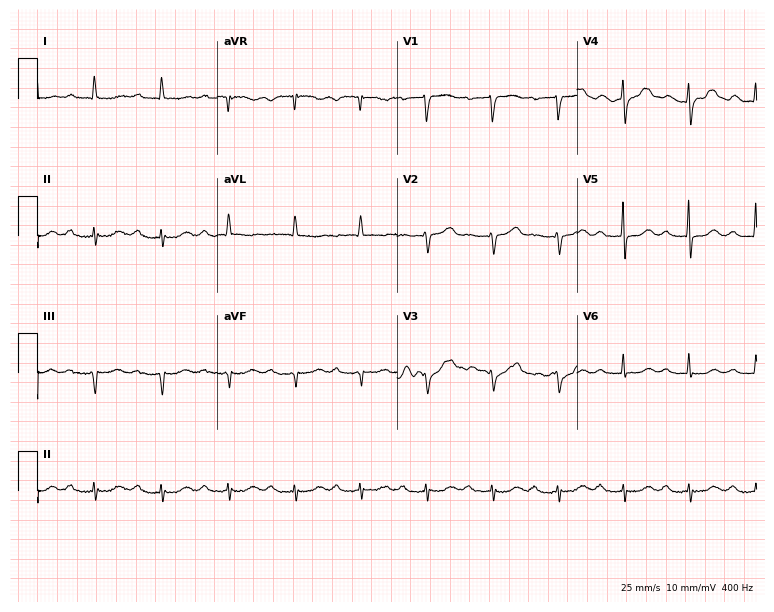
Resting 12-lead electrocardiogram. Patient: a 77-year-old woman. The tracing shows first-degree AV block.